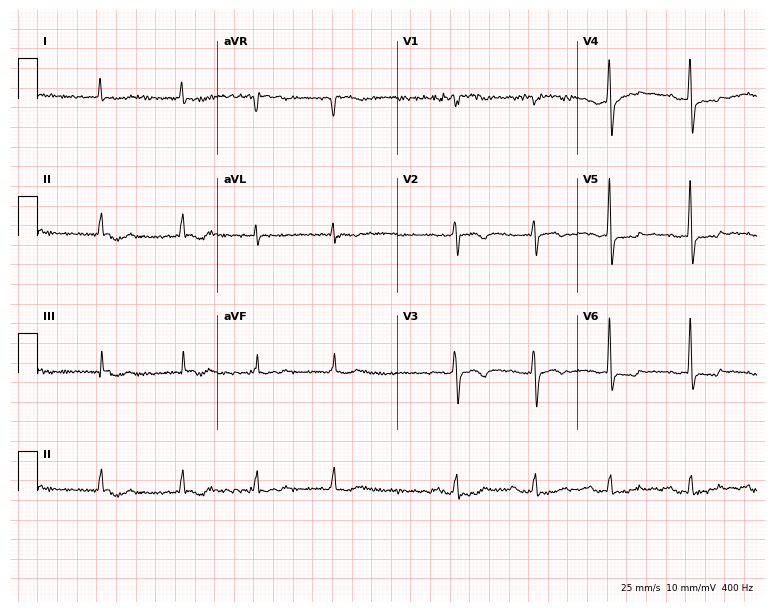
12-lead ECG from a female patient, 60 years old (7.3-second recording at 400 Hz). Shows first-degree AV block.